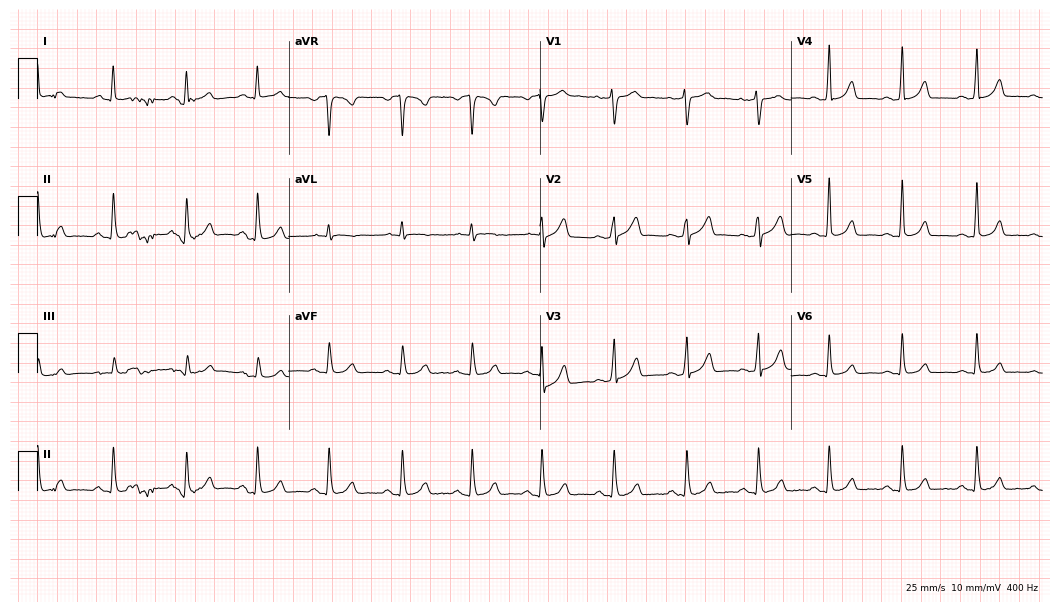
12-lead ECG from a 37-year-old female patient (10.2-second recording at 400 Hz). Recorded interpretation: within normal limits.